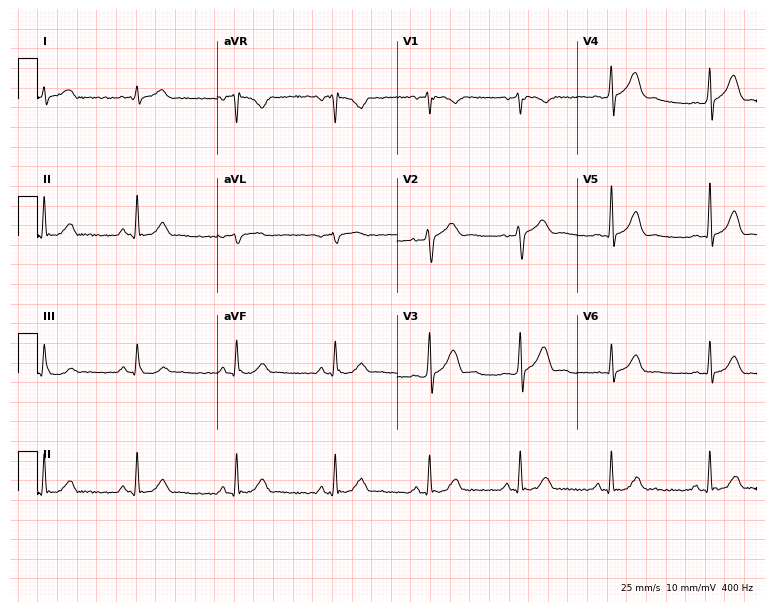
12-lead ECG (7.3-second recording at 400 Hz) from a 43-year-old man. Screened for six findings — first-degree AV block, right bundle branch block (RBBB), left bundle branch block (LBBB), sinus bradycardia, atrial fibrillation (AF), sinus tachycardia — none is recorded.